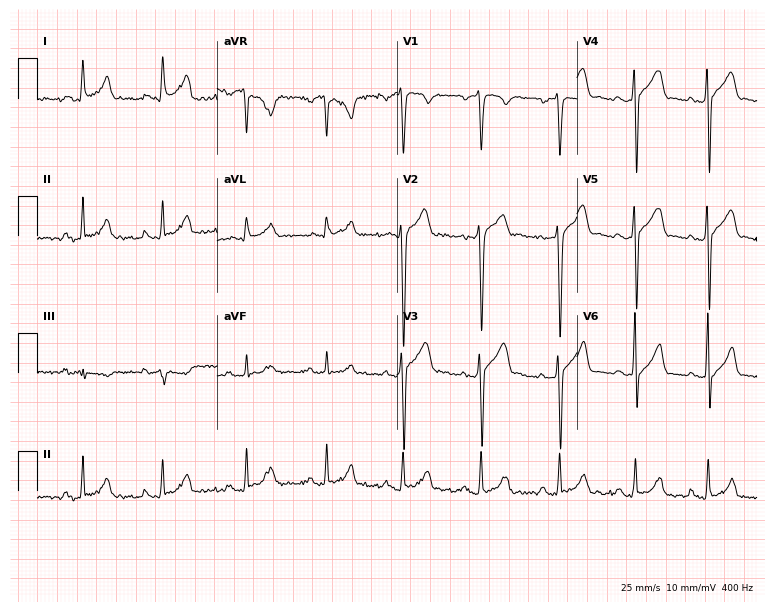
12-lead ECG from a 35-year-old male (7.3-second recording at 400 Hz). No first-degree AV block, right bundle branch block, left bundle branch block, sinus bradycardia, atrial fibrillation or sinus tachycardia recorded for this tracing. Only these six findings were labelled.